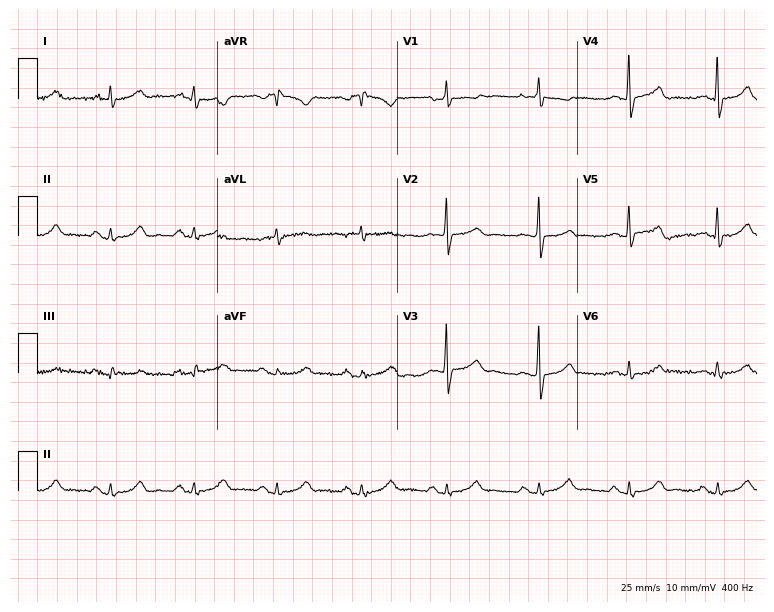
Standard 12-lead ECG recorded from a 73-year-old woman (7.3-second recording at 400 Hz). Read as a normal ECG.